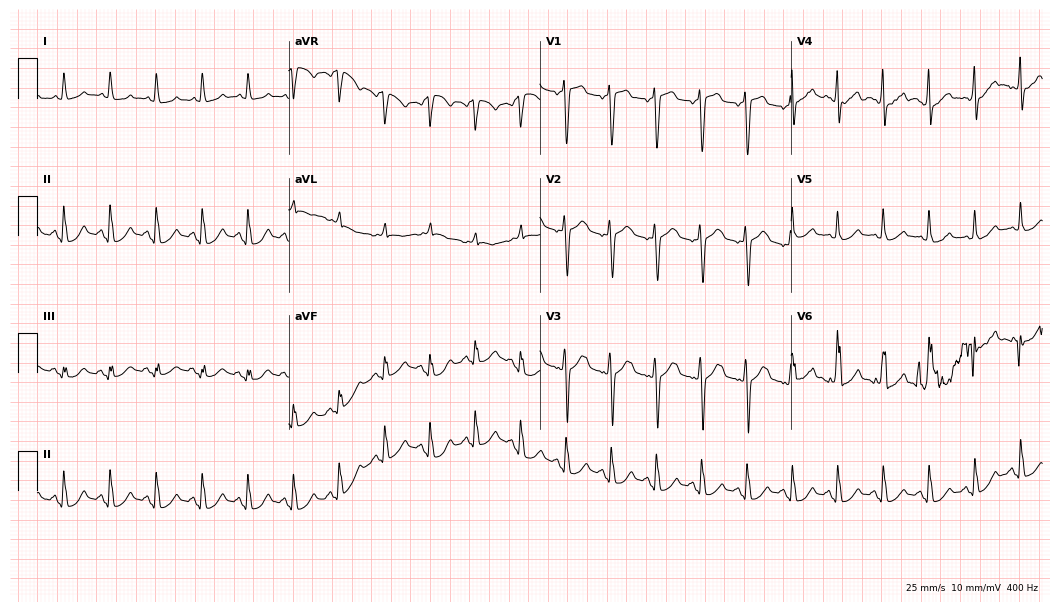
12-lead ECG from a female patient, 23 years old. No first-degree AV block, right bundle branch block, left bundle branch block, sinus bradycardia, atrial fibrillation or sinus tachycardia recorded for this tracing. Other findings, if any, are not listed.